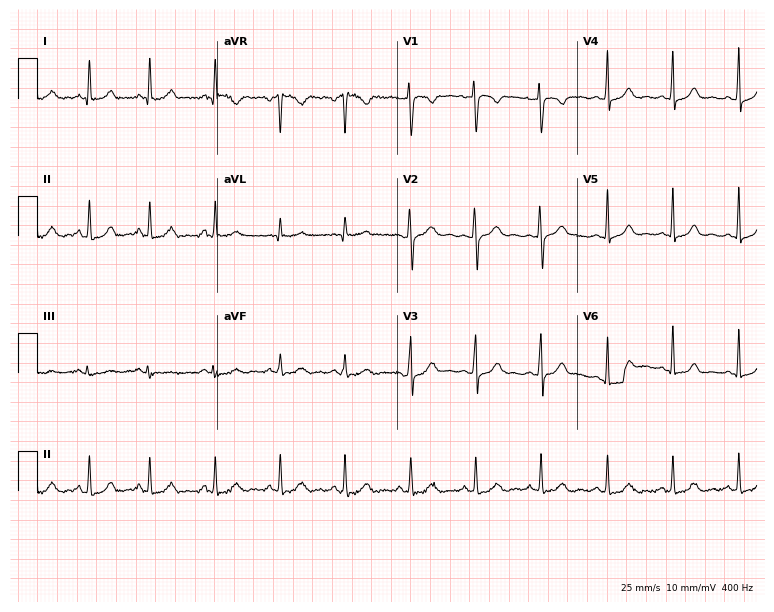
Standard 12-lead ECG recorded from a 29-year-old woman. None of these six findings is recorded: first-degree AV block, right bundle branch block (RBBB), left bundle branch block (LBBB), sinus bradycardia, atrial fibrillation (AF), sinus tachycardia.